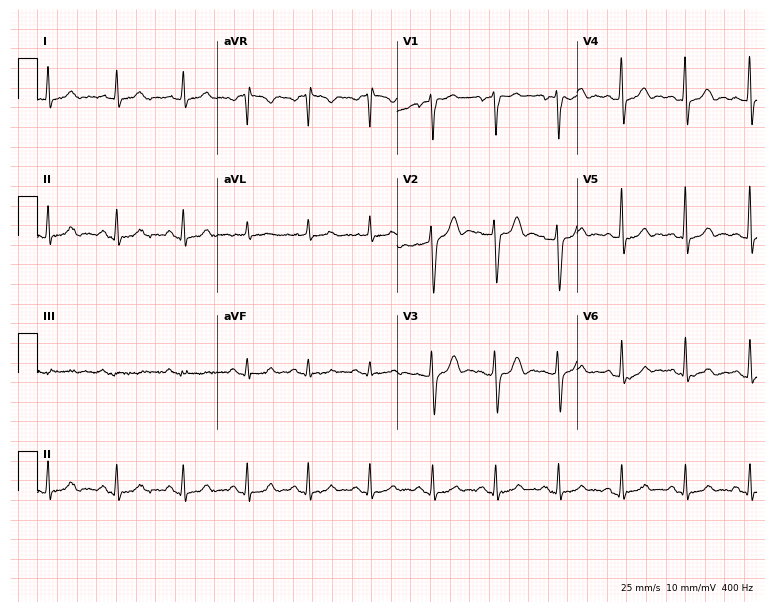
ECG — a man, 48 years old. Labelled as a normal ECG.